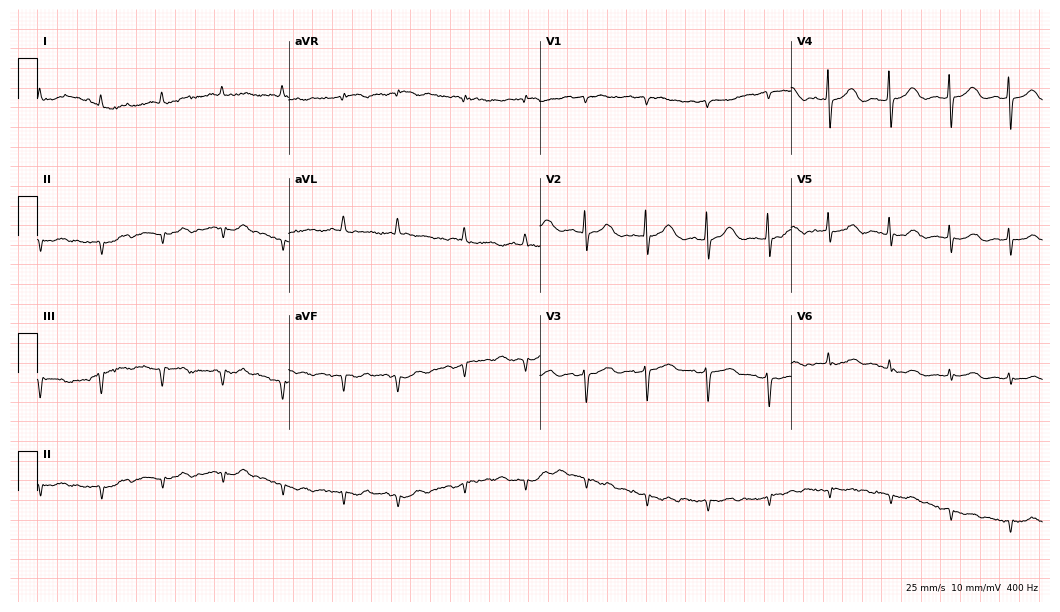
Resting 12-lead electrocardiogram. Patient: a 74-year-old woman. None of these six findings is recorded: first-degree AV block, right bundle branch block, left bundle branch block, sinus bradycardia, atrial fibrillation, sinus tachycardia.